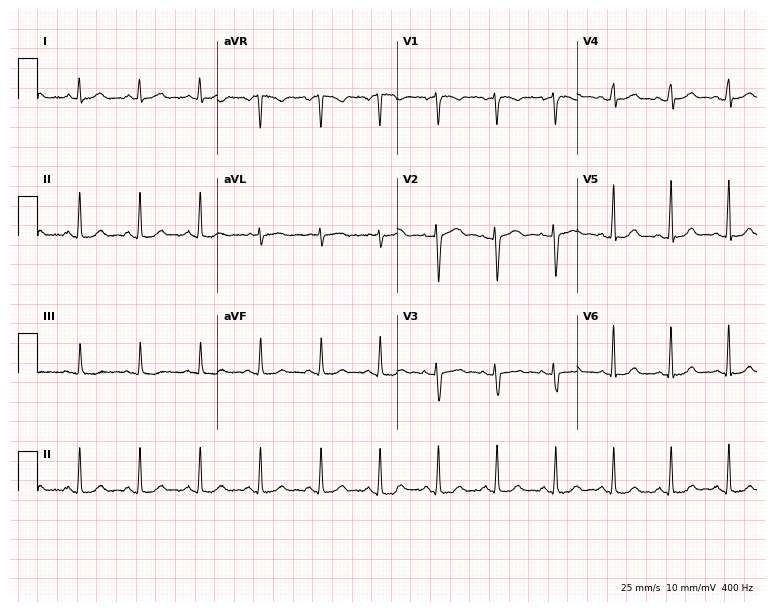
Resting 12-lead electrocardiogram. Patient: a woman, 41 years old. Read as a normal ECG.